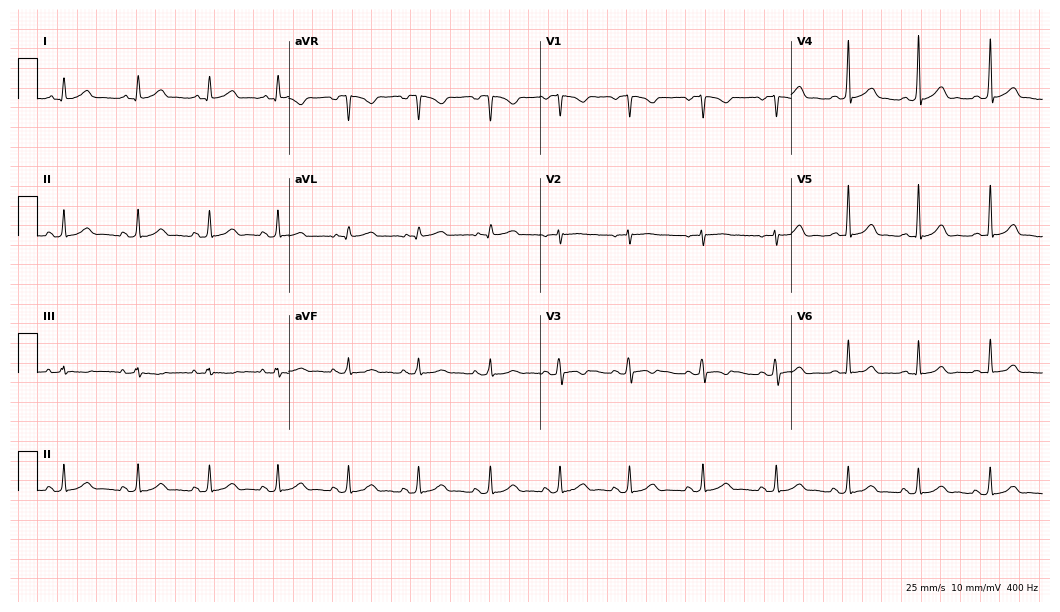
Standard 12-lead ECG recorded from a female, 20 years old (10.2-second recording at 400 Hz). Read as a normal ECG.